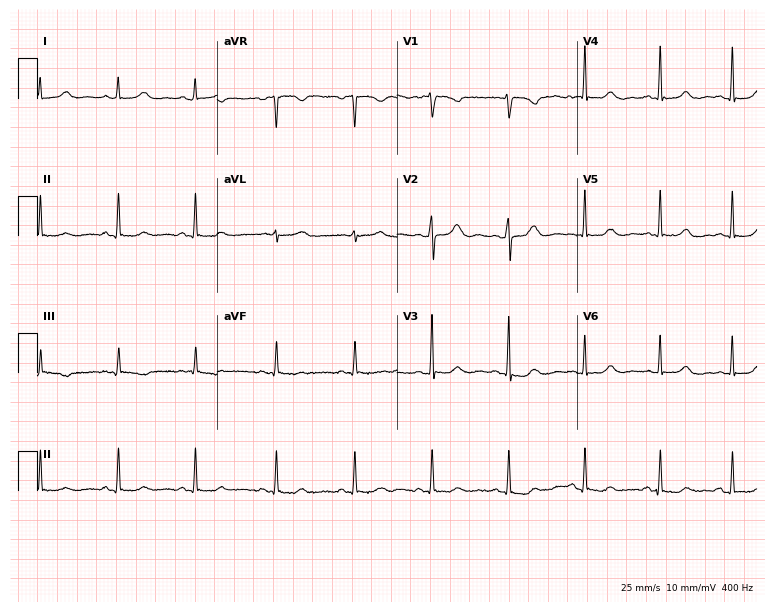
Electrocardiogram, a woman, 34 years old. Overall reading on record: normal ECG.